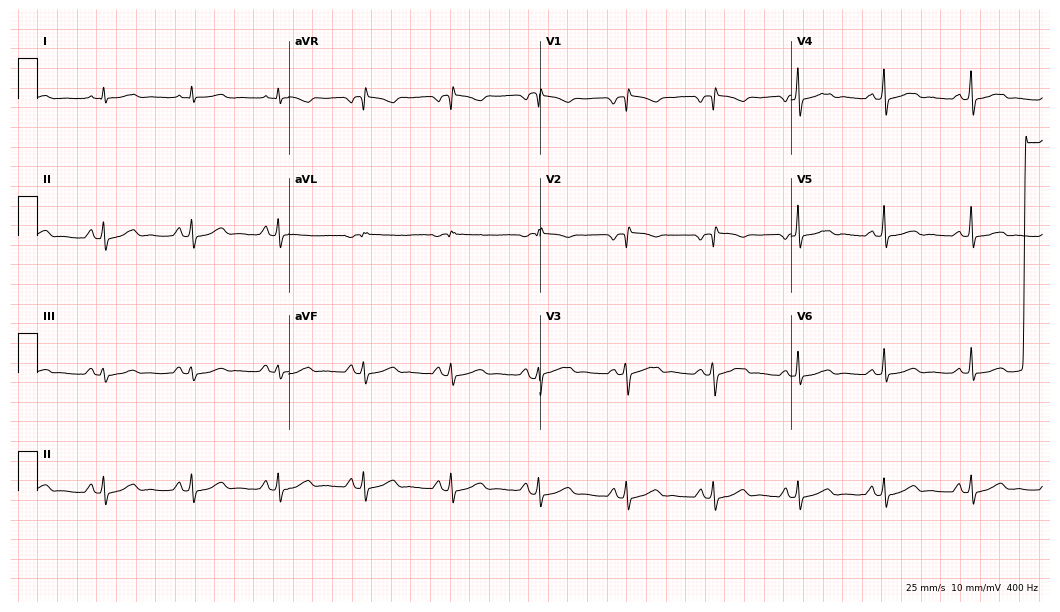
12-lead ECG from a female patient, 52 years old. No first-degree AV block, right bundle branch block, left bundle branch block, sinus bradycardia, atrial fibrillation or sinus tachycardia recorded for this tracing.